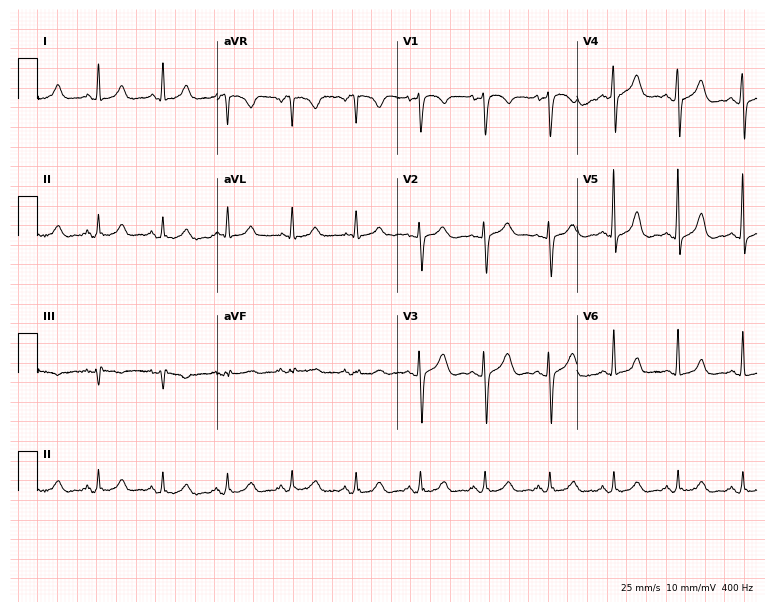
Electrocardiogram, a 54-year-old female patient. Of the six screened findings (first-degree AV block, right bundle branch block (RBBB), left bundle branch block (LBBB), sinus bradycardia, atrial fibrillation (AF), sinus tachycardia), none is recorded.